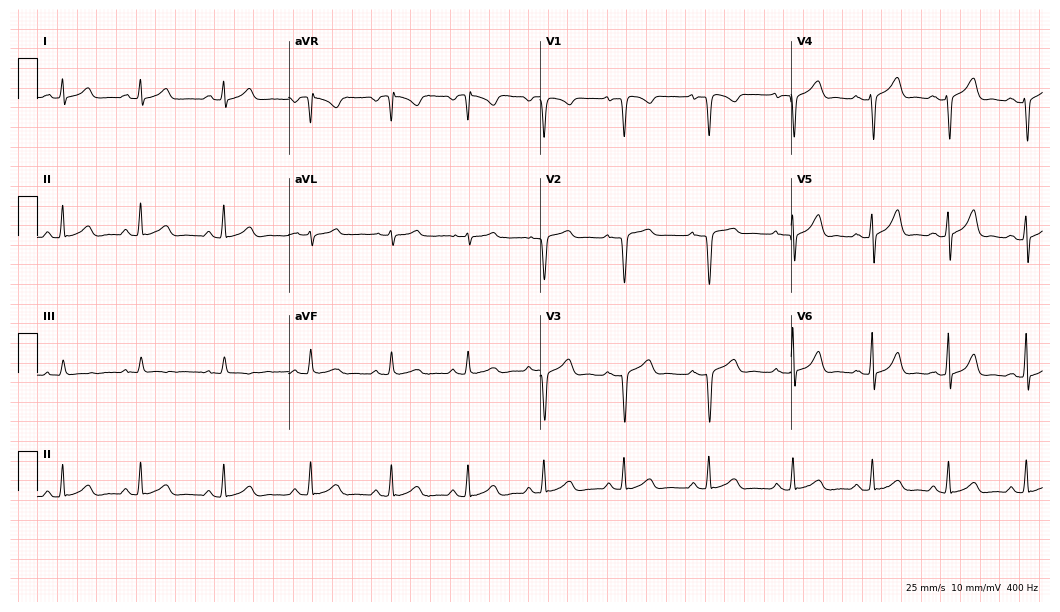
12-lead ECG from a 17-year-old female patient. Recorded interpretation: within normal limits.